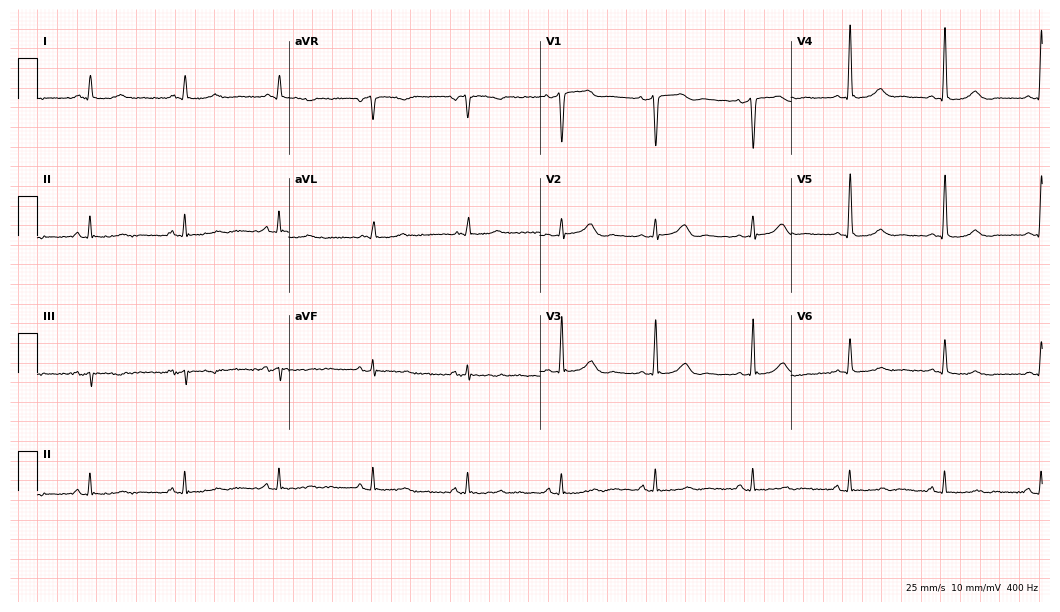
12-lead ECG from a 73-year-old man. No first-degree AV block, right bundle branch block (RBBB), left bundle branch block (LBBB), sinus bradycardia, atrial fibrillation (AF) or sinus tachycardia recorded for this tracing. Other findings, if any, are not listed.